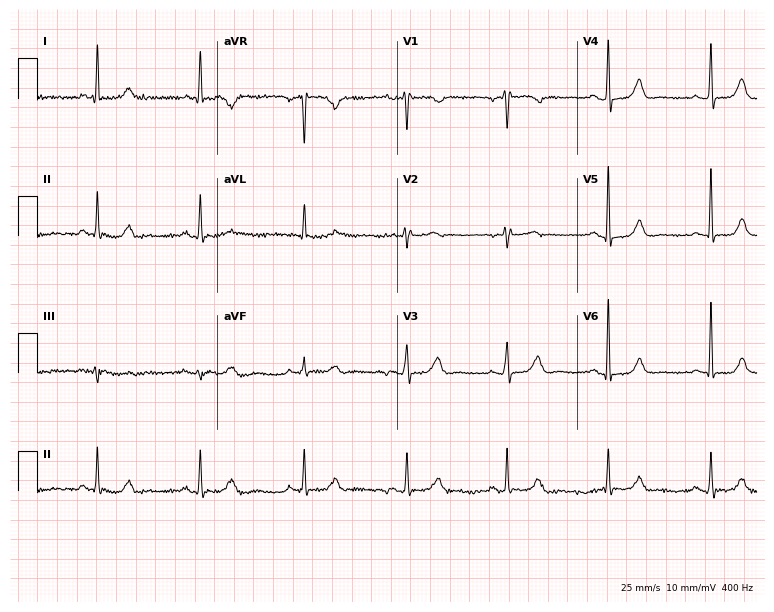
Resting 12-lead electrocardiogram (7.3-second recording at 400 Hz). Patient: a 79-year-old woman. Read as a normal ECG.